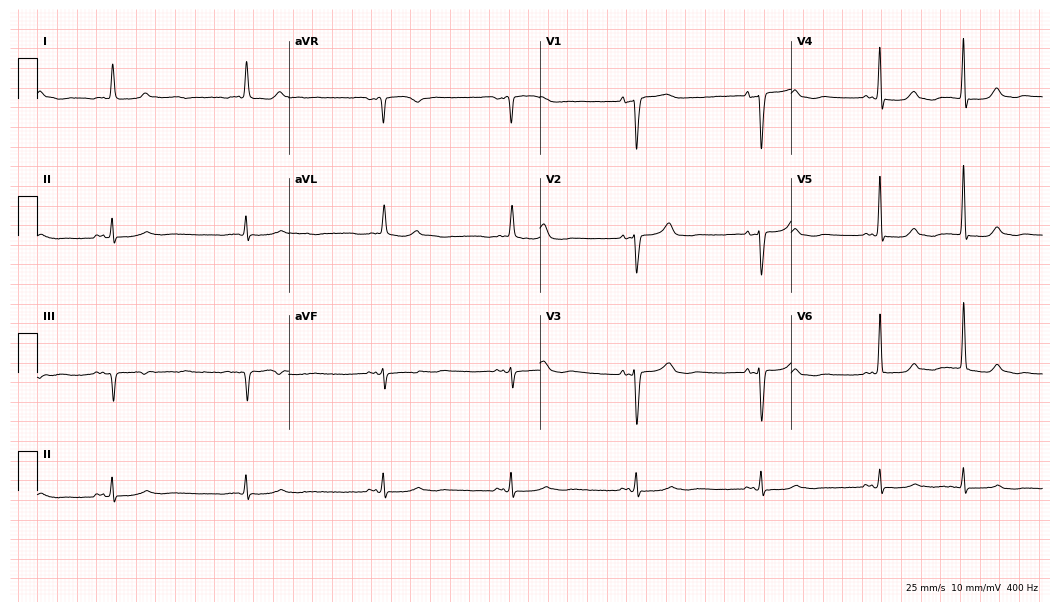
Electrocardiogram, a male patient, 60 years old. Interpretation includes sinus bradycardia (a sinus rate of 50 beats per minute or less).